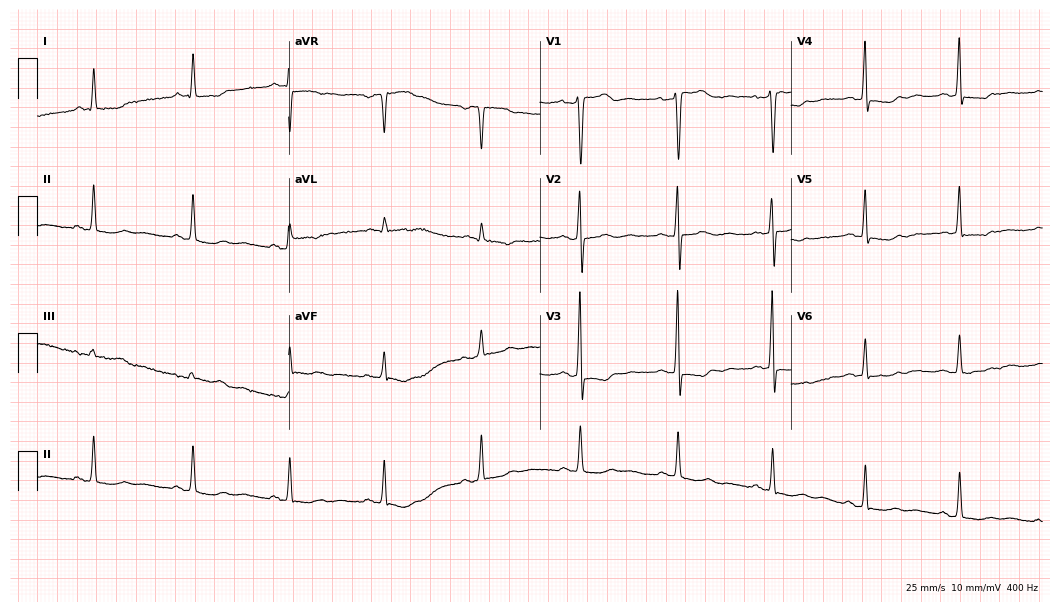
12-lead ECG from a woman, 56 years old (10.2-second recording at 400 Hz). No first-degree AV block, right bundle branch block, left bundle branch block, sinus bradycardia, atrial fibrillation or sinus tachycardia recorded for this tracing. Only these six findings were labelled.